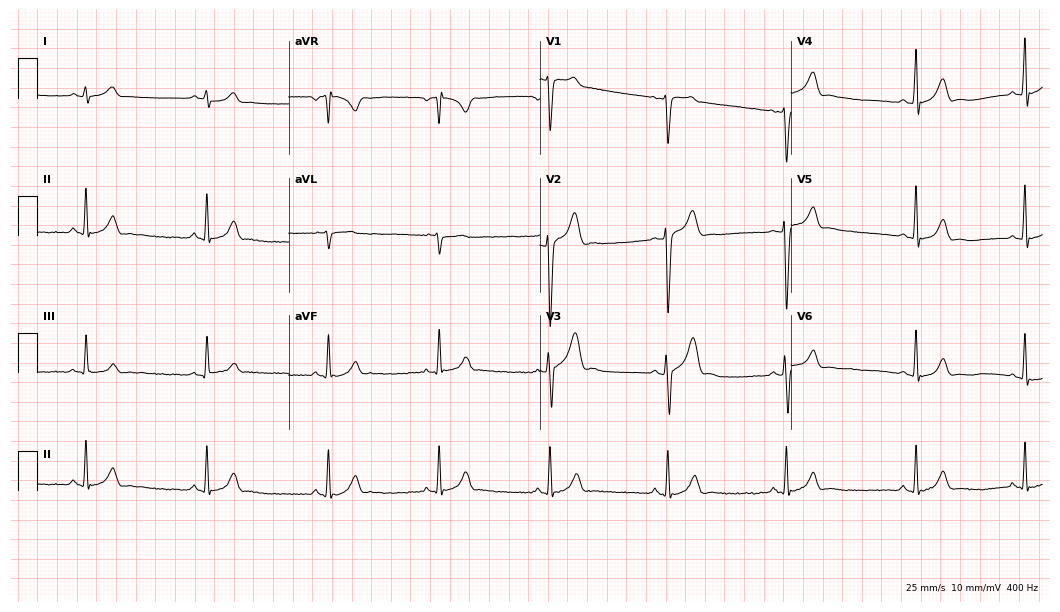
12-lead ECG (10.2-second recording at 400 Hz) from a male, 26 years old. Labelled as a normal ECG.